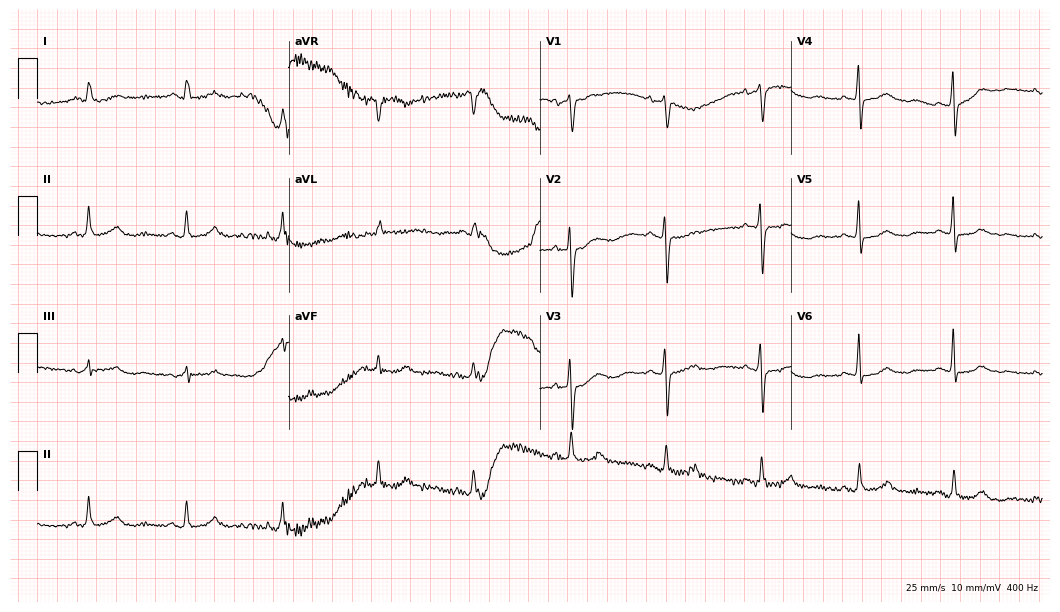
ECG (10.2-second recording at 400 Hz) — an 80-year-old female. Screened for six findings — first-degree AV block, right bundle branch block (RBBB), left bundle branch block (LBBB), sinus bradycardia, atrial fibrillation (AF), sinus tachycardia — none is recorded.